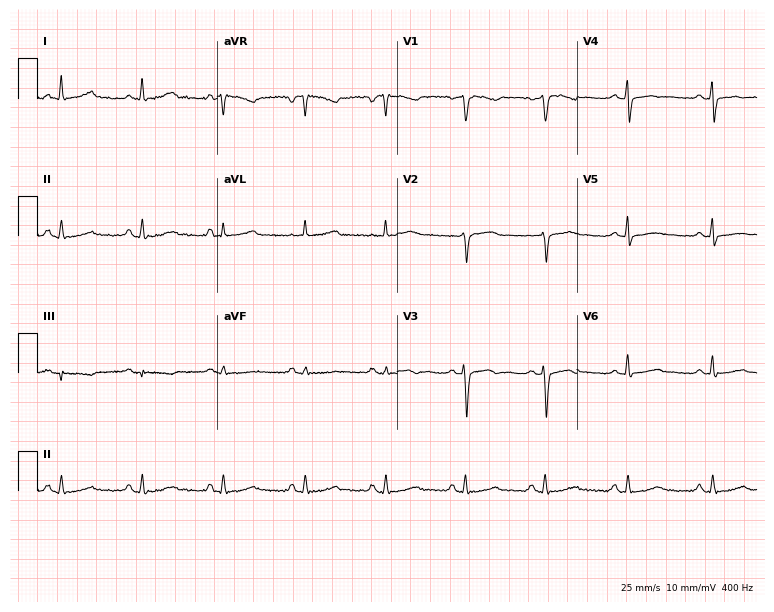
Standard 12-lead ECG recorded from a woman, 48 years old. None of these six findings is recorded: first-degree AV block, right bundle branch block (RBBB), left bundle branch block (LBBB), sinus bradycardia, atrial fibrillation (AF), sinus tachycardia. Other findings, if any, are not listed.